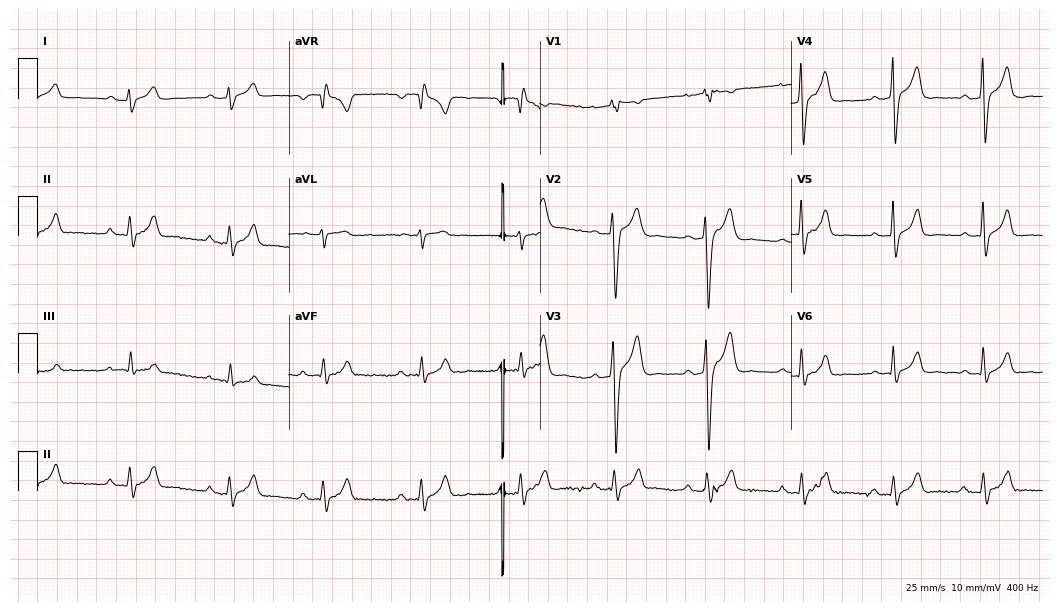
Standard 12-lead ECG recorded from a 26-year-old man (10.2-second recording at 400 Hz). None of these six findings is recorded: first-degree AV block, right bundle branch block (RBBB), left bundle branch block (LBBB), sinus bradycardia, atrial fibrillation (AF), sinus tachycardia.